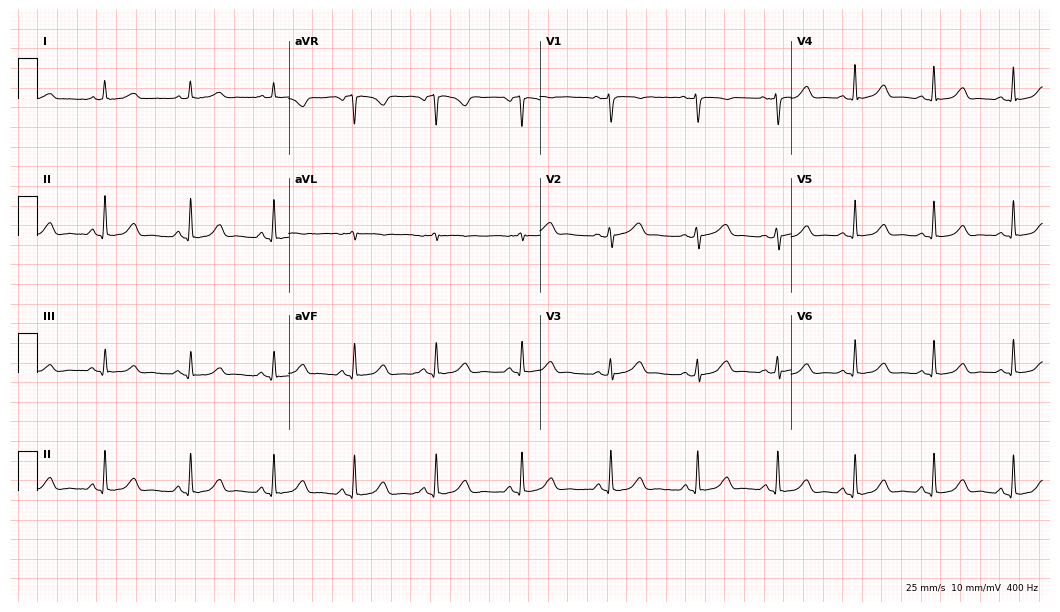
ECG — a 42-year-old woman. Screened for six findings — first-degree AV block, right bundle branch block (RBBB), left bundle branch block (LBBB), sinus bradycardia, atrial fibrillation (AF), sinus tachycardia — none is recorded. Only these six findings were labelled.